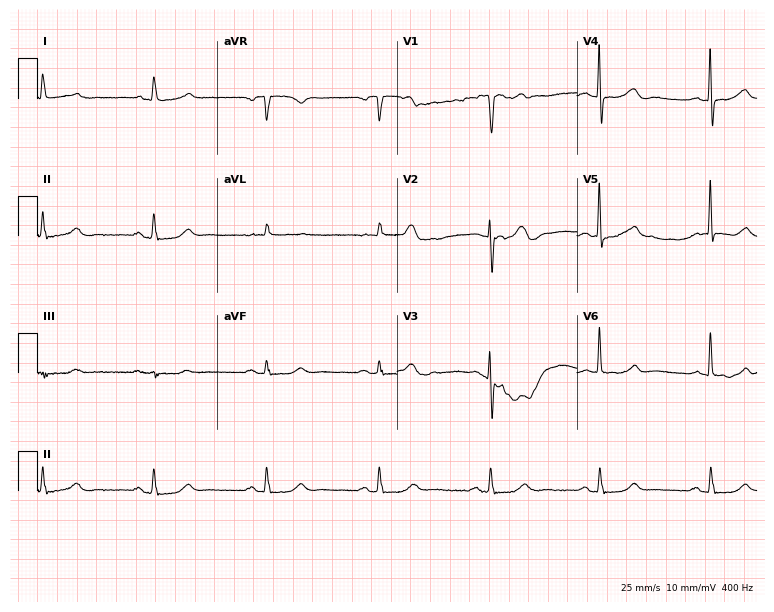
12-lead ECG from a 75-year-old male patient. Labelled as a normal ECG.